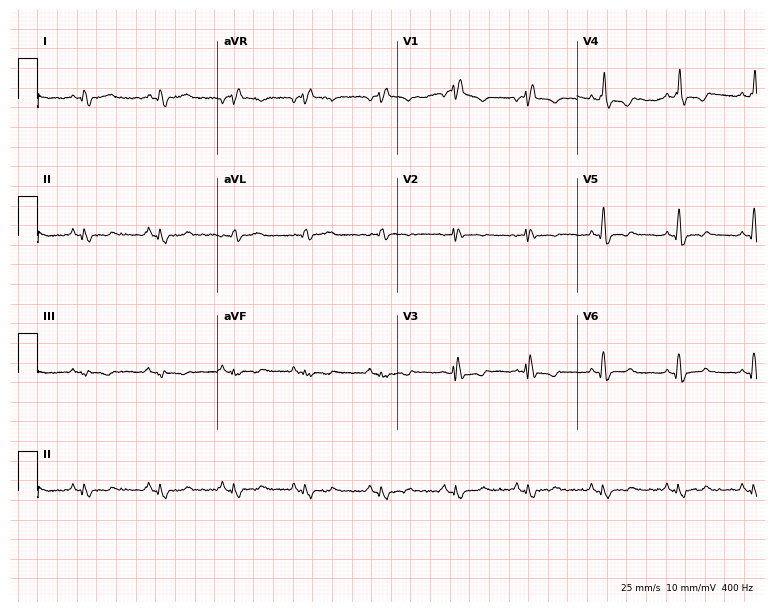
12-lead ECG from a 56-year-old male. Findings include right bundle branch block.